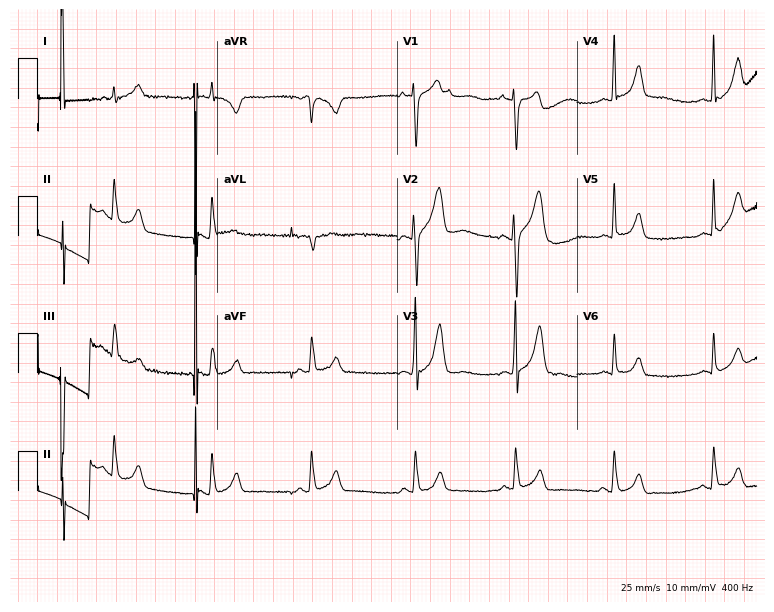
12-lead ECG from a 24-year-old man. Screened for six findings — first-degree AV block, right bundle branch block (RBBB), left bundle branch block (LBBB), sinus bradycardia, atrial fibrillation (AF), sinus tachycardia — none is recorded.